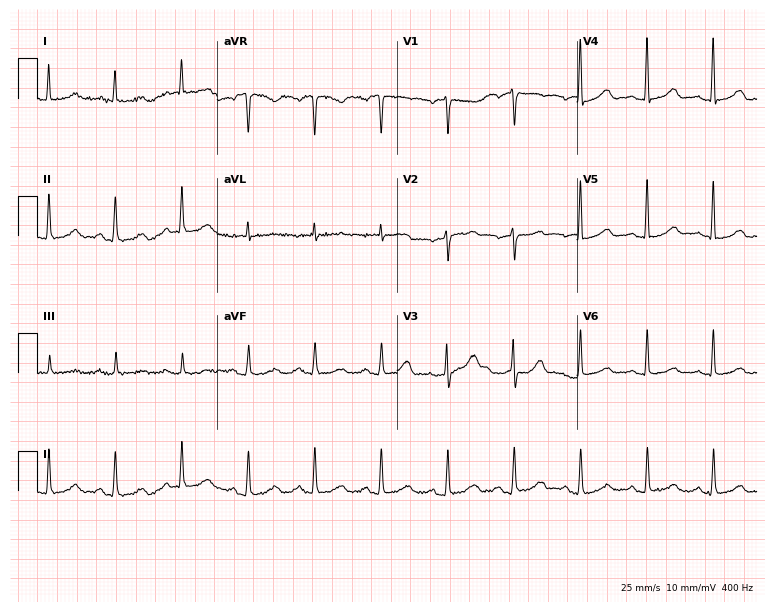
Electrocardiogram (7.3-second recording at 400 Hz), a female, 55 years old. Overall reading on record: normal ECG.